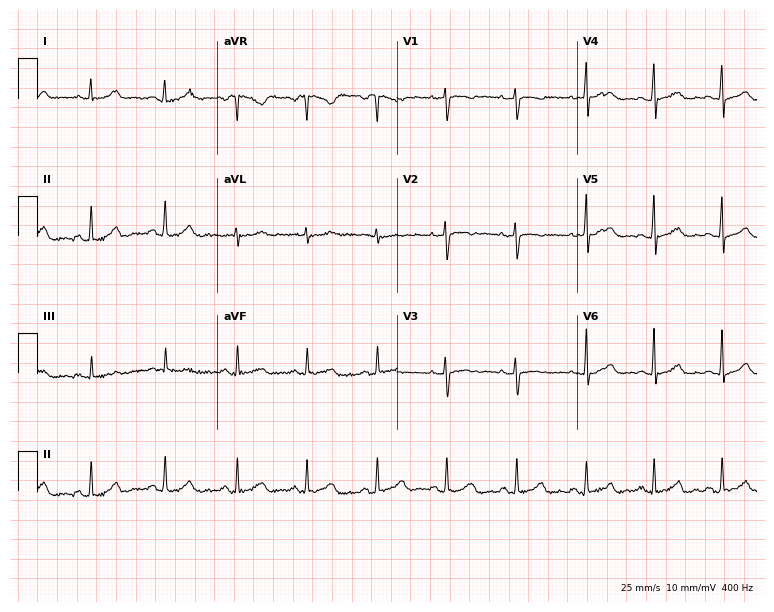
12-lead ECG from a 28-year-old woman. No first-degree AV block, right bundle branch block, left bundle branch block, sinus bradycardia, atrial fibrillation or sinus tachycardia recorded for this tracing. Only these six findings were labelled.